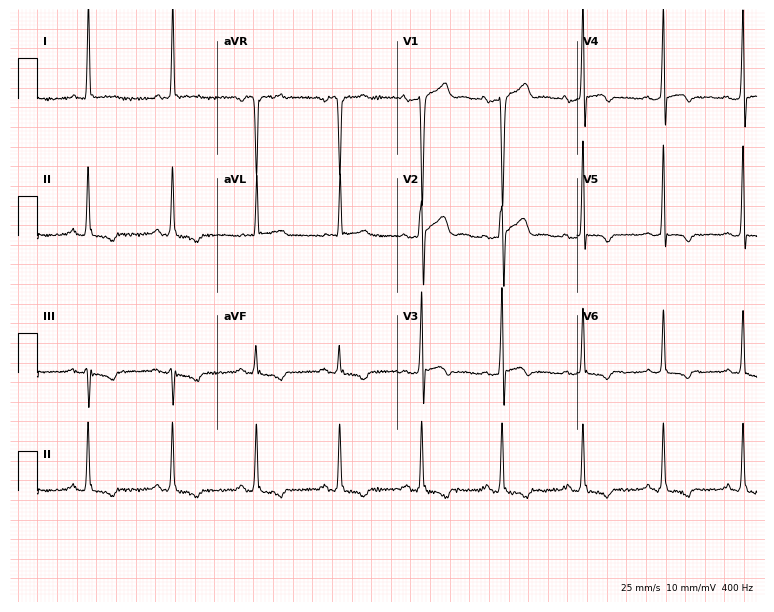
Standard 12-lead ECG recorded from a 46-year-old male patient (7.3-second recording at 400 Hz). None of these six findings is recorded: first-degree AV block, right bundle branch block, left bundle branch block, sinus bradycardia, atrial fibrillation, sinus tachycardia.